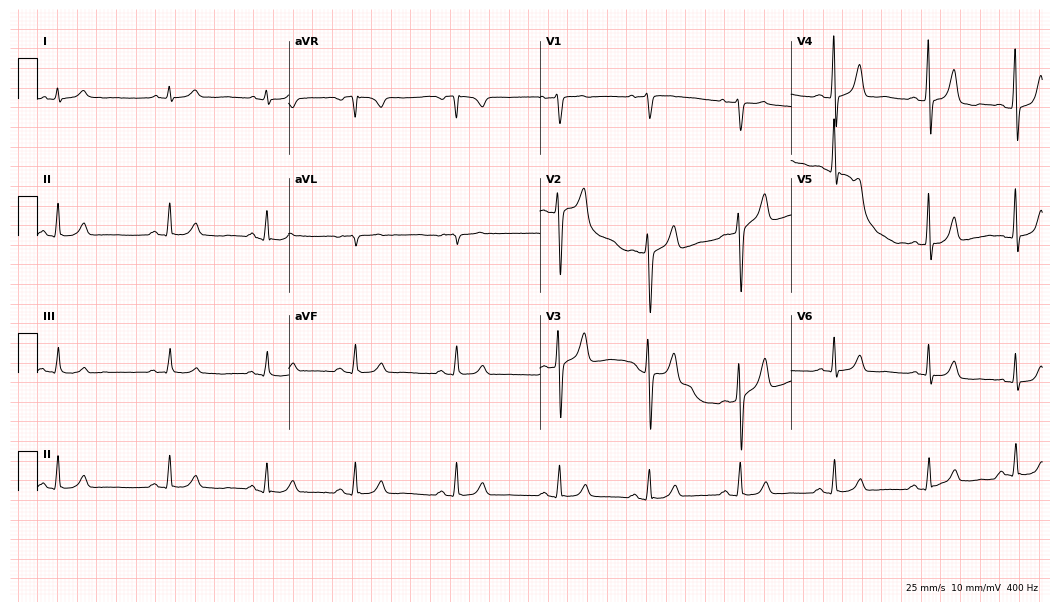
ECG (10.2-second recording at 400 Hz) — a male, 39 years old. Labelled as a normal ECG.